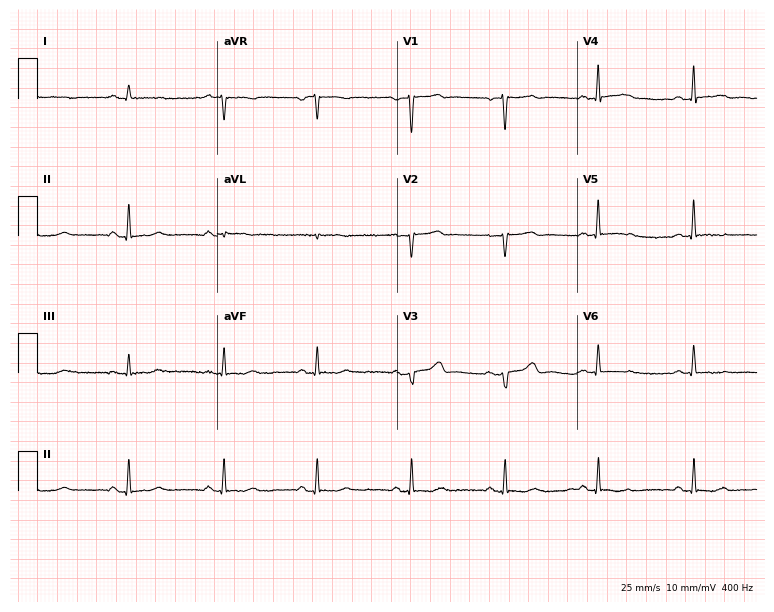
Electrocardiogram (7.3-second recording at 400 Hz), a 46-year-old female. Of the six screened findings (first-degree AV block, right bundle branch block, left bundle branch block, sinus bradycardia, atrial fibrillation, sinus tachycardia), none is recorded. Findings outside these six are not listed.